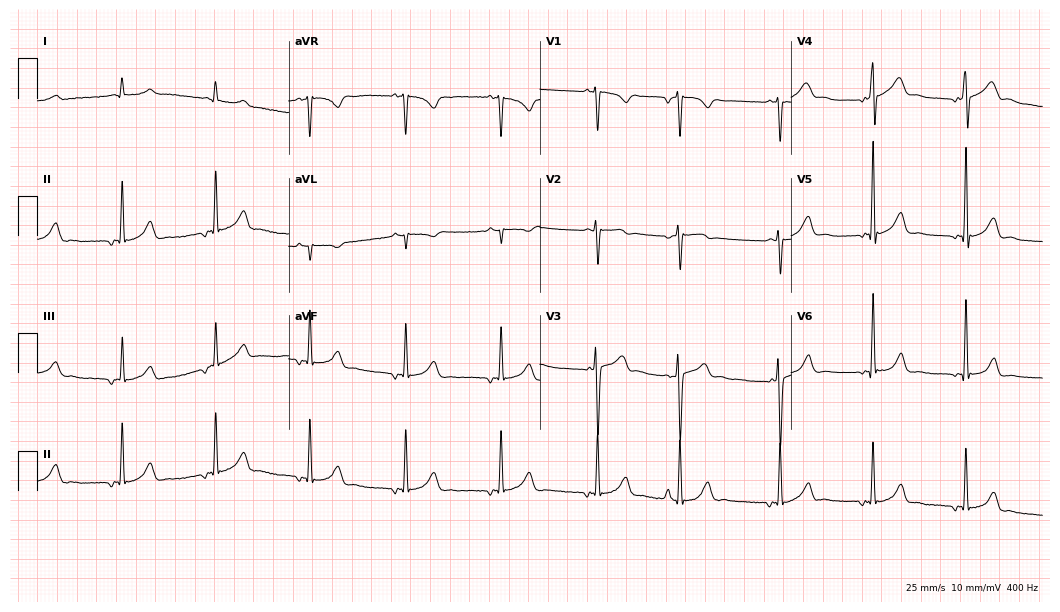
Electrocardiogram, a 69-year-old male. Of the six screened findings (first-degree AV block, right bundle branch block (RBBB), left bundle branch block (LBBB), sinus bradycardia, atrial fibrillation (AF), sinus tachycardia), none is recorded. Only these six findings were labelled.